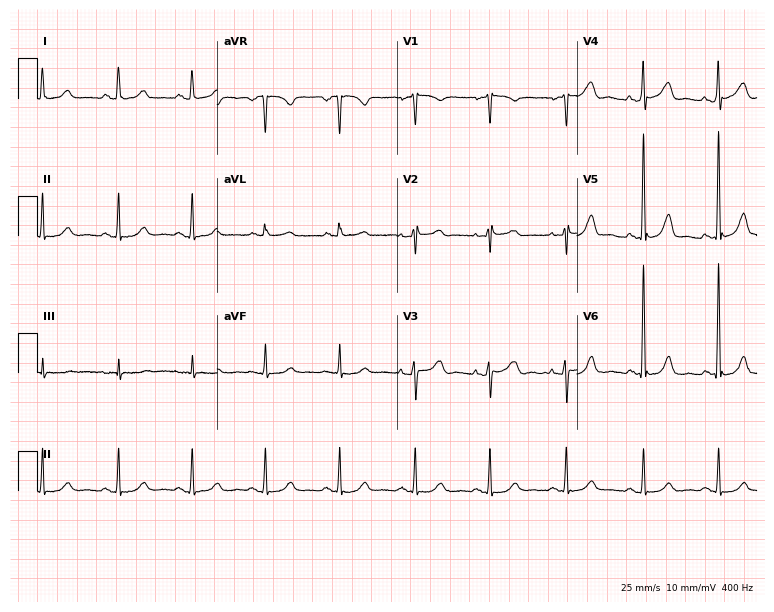
12-lead ECG from a 69-year-old female (7.3-second recording at 400 Hz). No first-degree AV block, right bundle branch block, left bundle branch block, sinus bradycardia, atrial fibrillation or sinus tachycardia recorded for this tracing. Findings outside these six are not listed.